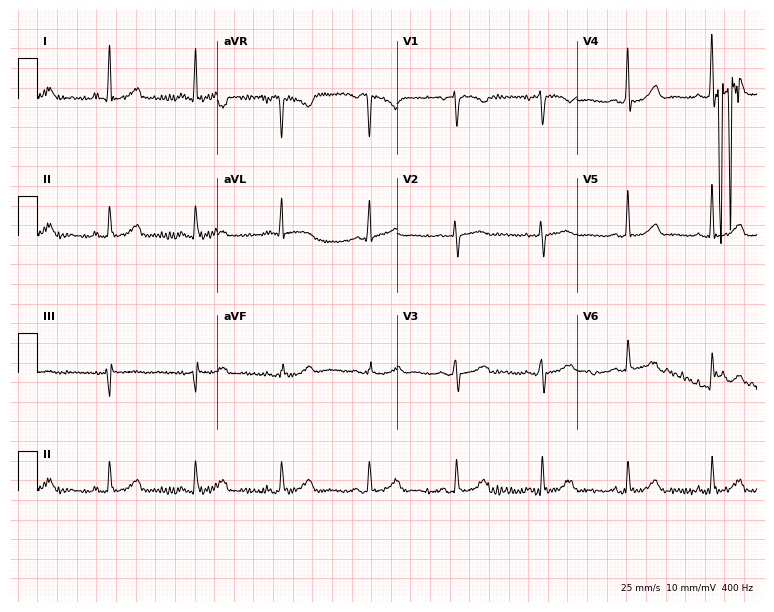
Electrocardiogram, a female patient, 55 years old. Overall reading on record: normal ECG.